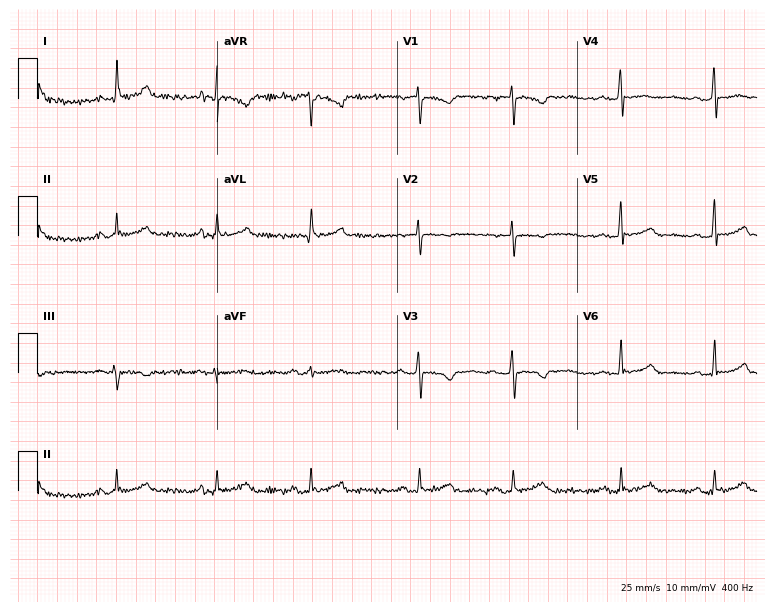
12-lead ECG from a 41-year-old female. Screened for six findings — first-degree AV block, right bundle branch block, left bundle branch block, sinus bradycardia, atrial fibrillation, sinus tachycardia — none is recorded.